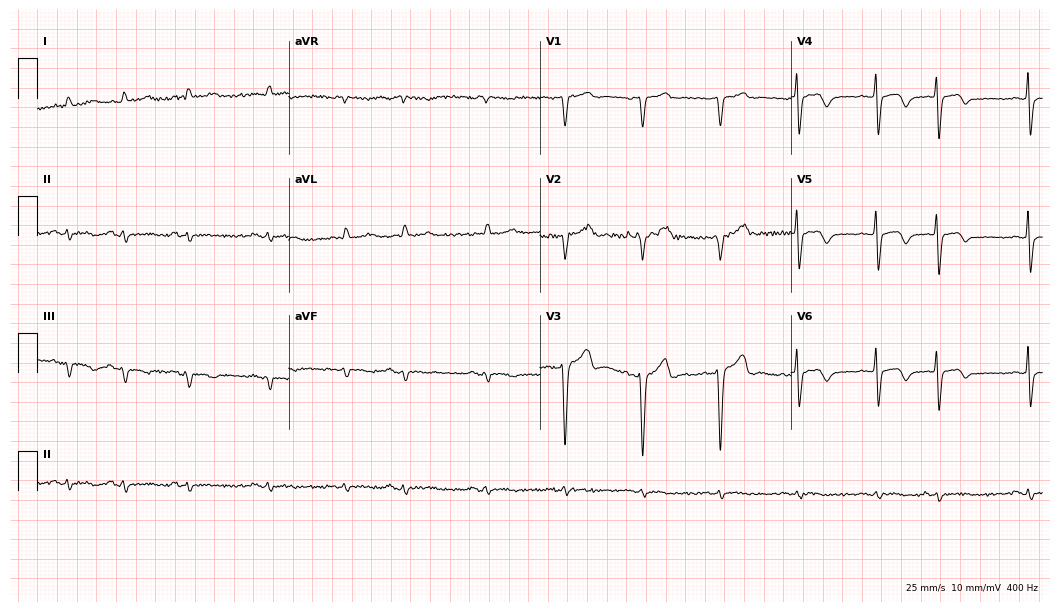
12-lead ECG from a male, 70 years old (10.2-second recording at 400 Hz). No first-degree AV block, right bundle branch block, left bundle branch block, sinus bradycardia, atrial fibrillation or sinus tachycardia recorded for this tracing.